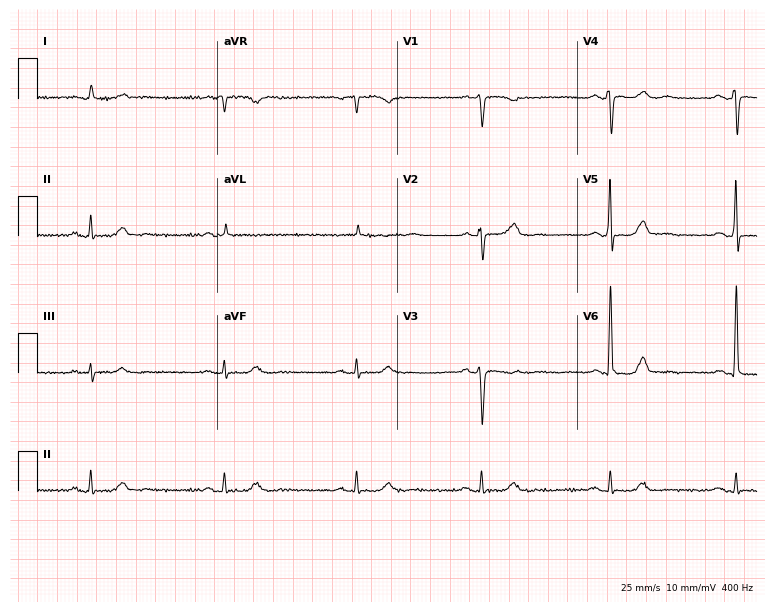
12-lead ECG (7.3-second recording at 400 Hz) from an 82-year-old woman. Findings include sinus bradycardia (a sinus rate of 50 beats per minute or less).